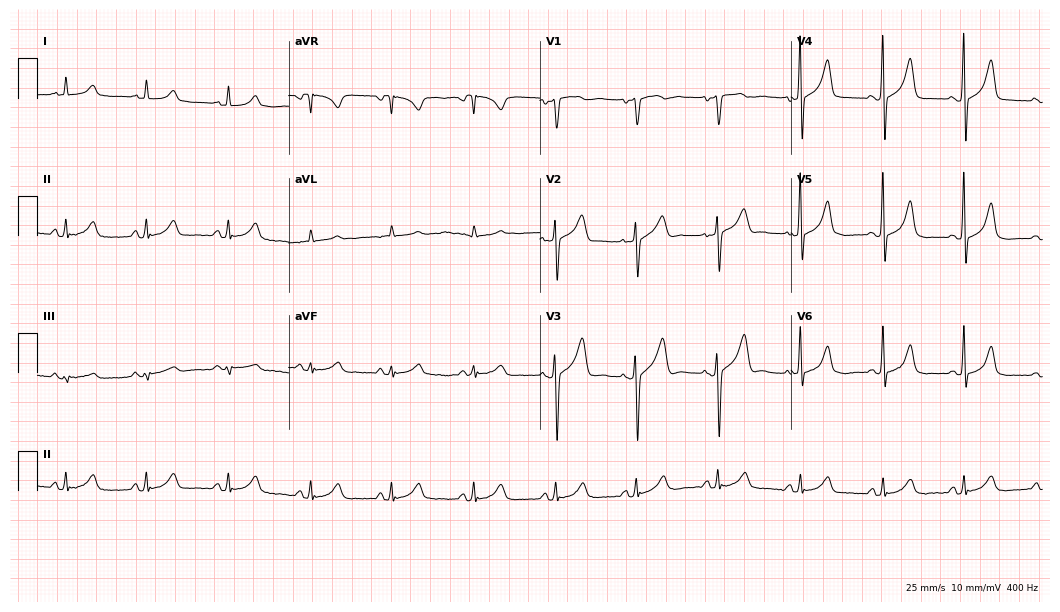
ECG — a male patient, 49 years old. Labelled as a normal ECG.